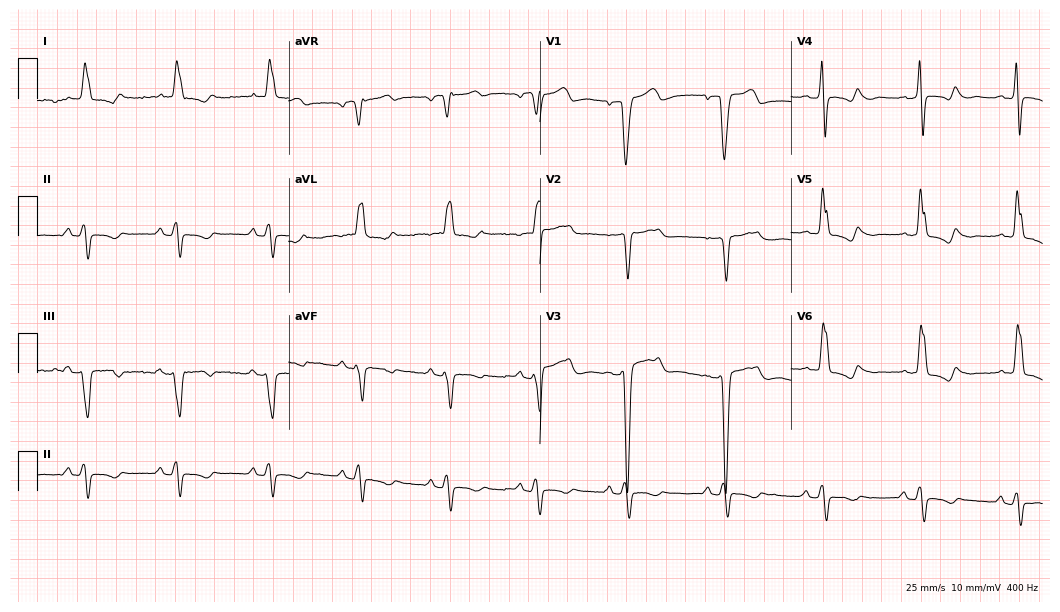
Electrocardiogram (10.2-second recording at 400 Hz), a 58-year-old woman. Interpretation includes left bundle branch block.